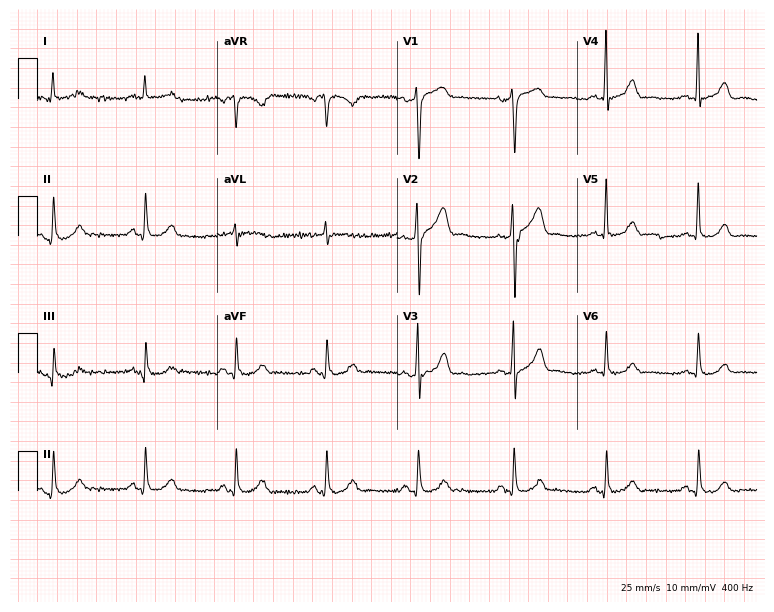
12-lead ECG from a 68-year-old male patient. No first-degree AV block, right bundle branch block (RBBB), left bundle branch block (LBBB), sinus bradycardia, atrial fibrillation (AF) or sinus tachycardia recorded for this tracing.